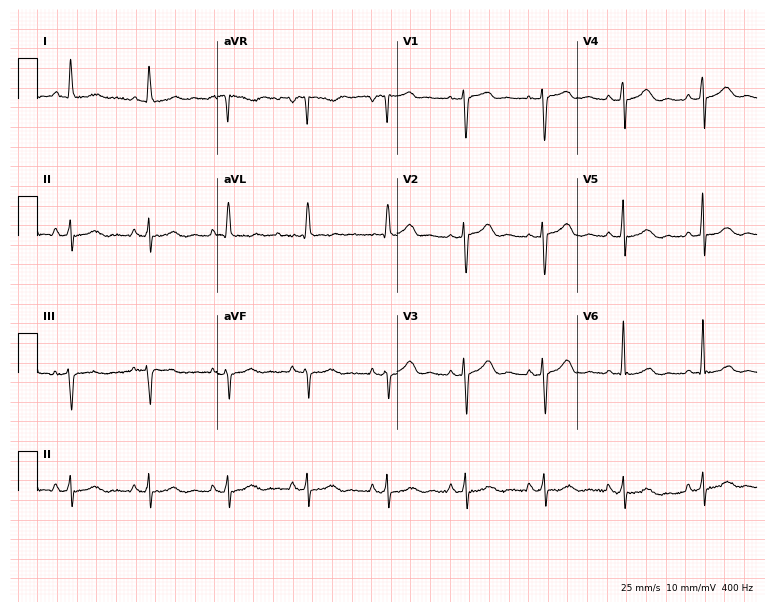
ECG (7.3-second recording at 400 Hz) — a female patient, 63 years old. Screened for six findings — first-degree AV block, right bundle branch block, left bundle branch block, sinus bradycardia, atrial fibrillation, sinus tachycardia — none is recorded.